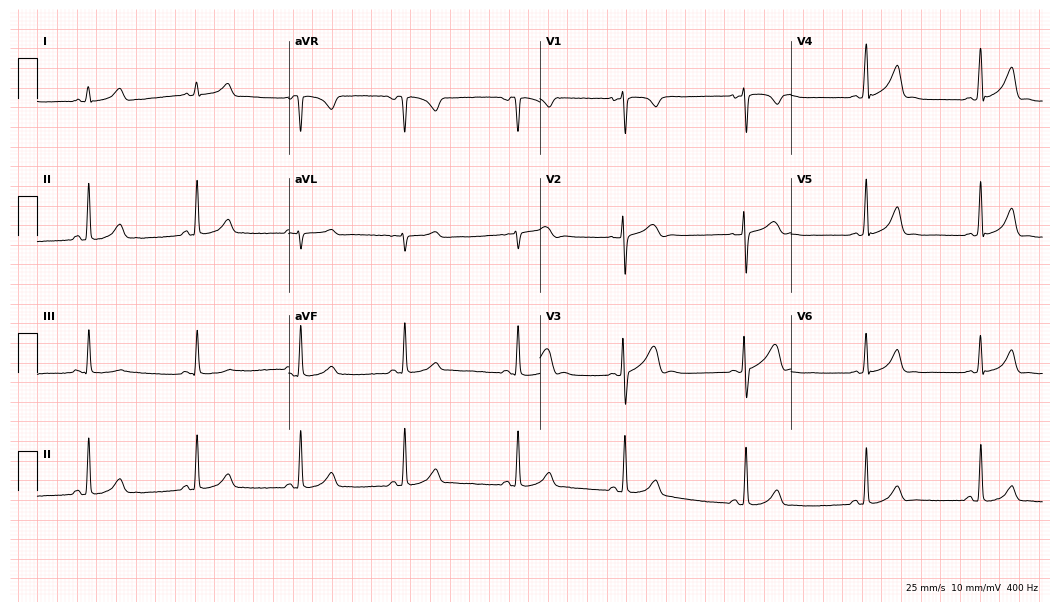
Electrocardiogram (10.2-second recording at 400 Hz), a 20-year-old female. Overall reading on record: normal ECG.